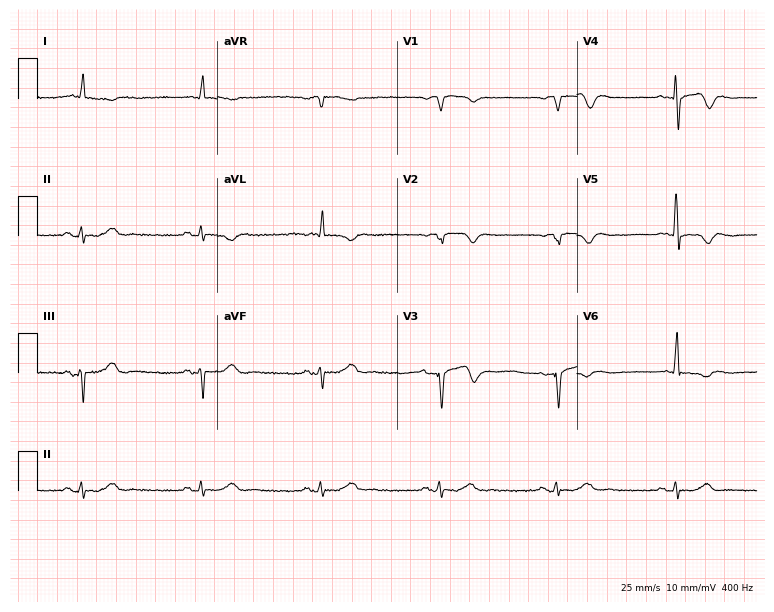
ECG — a 79-year-old male patient. Findings include sinus bradycardia (a sinus rate of 50 beats per minute or less).